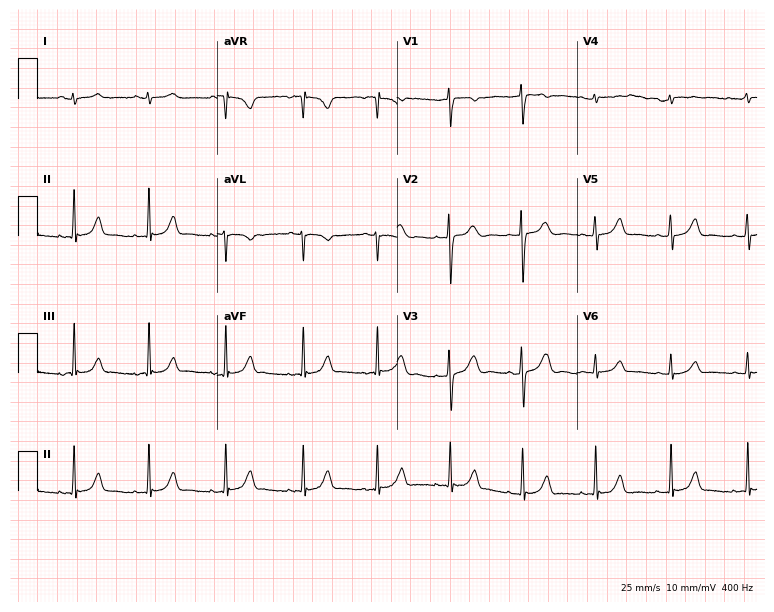
12-lead ECG (7.3-second recording at 400 Hz) from a female patient, 20 years old. Labelled as a normal ECG.